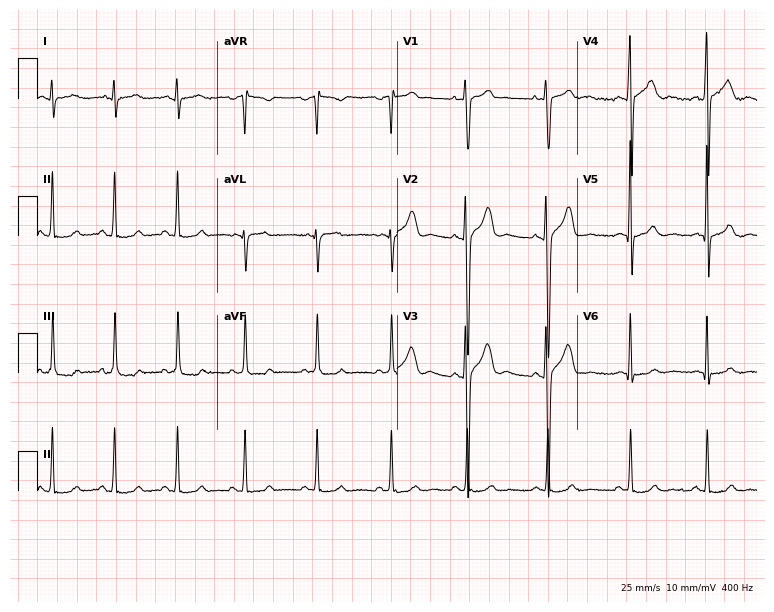
Electrocardiogram, an 18-year-old man. Of the six screened findings (first-degree AV block, right bundle branch block, left bundle branch block, sinus bradycardia, atrial fibrillation, sinus tachycardia), none is recorded. Only these six findings were labelled.